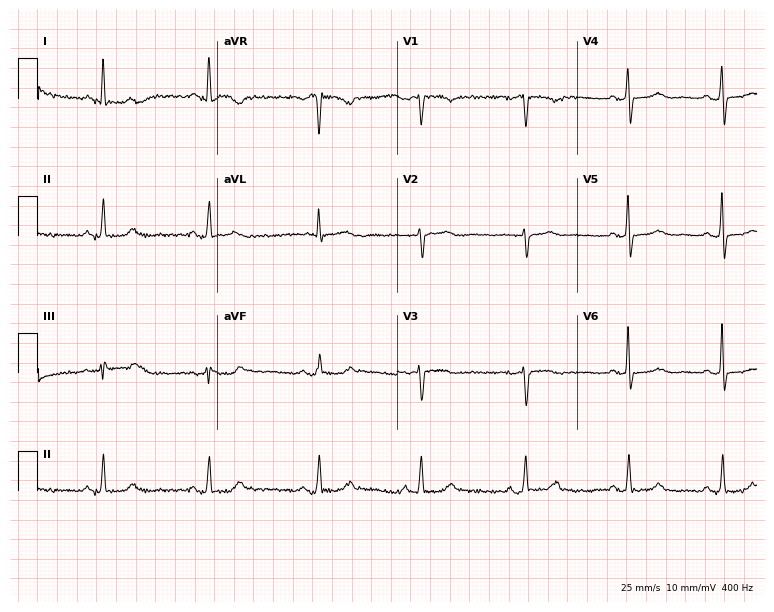
Resting 12-lead electrocardiogram. Patient: a 52-year-old female. Read as a normal ECG.